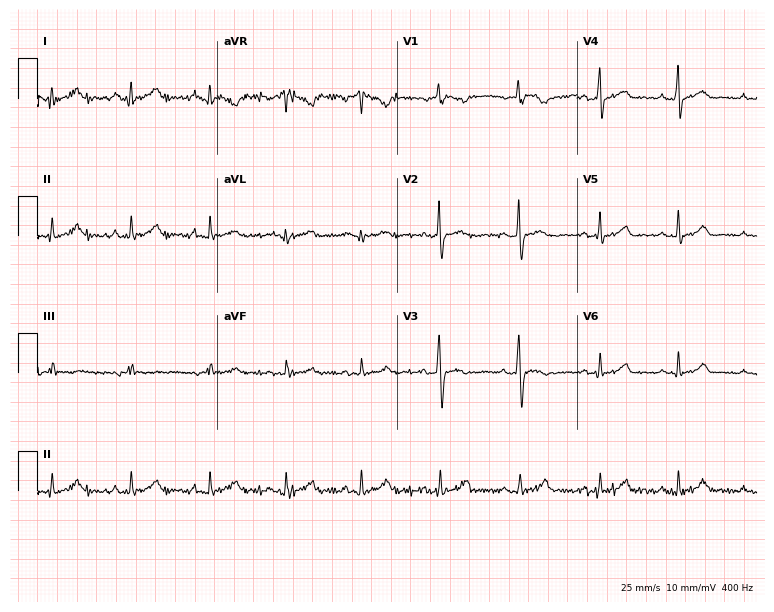
ECG (7.3-second recording at 400 Hz) — a female, 27 years old. Screened for six findings — first-degree AV block, right bundle branch block, left bundle branch block, sinus bradycardia, atrial fibrillation, sinus tachycardia — none is recorded. Findings outside these six are not listed.